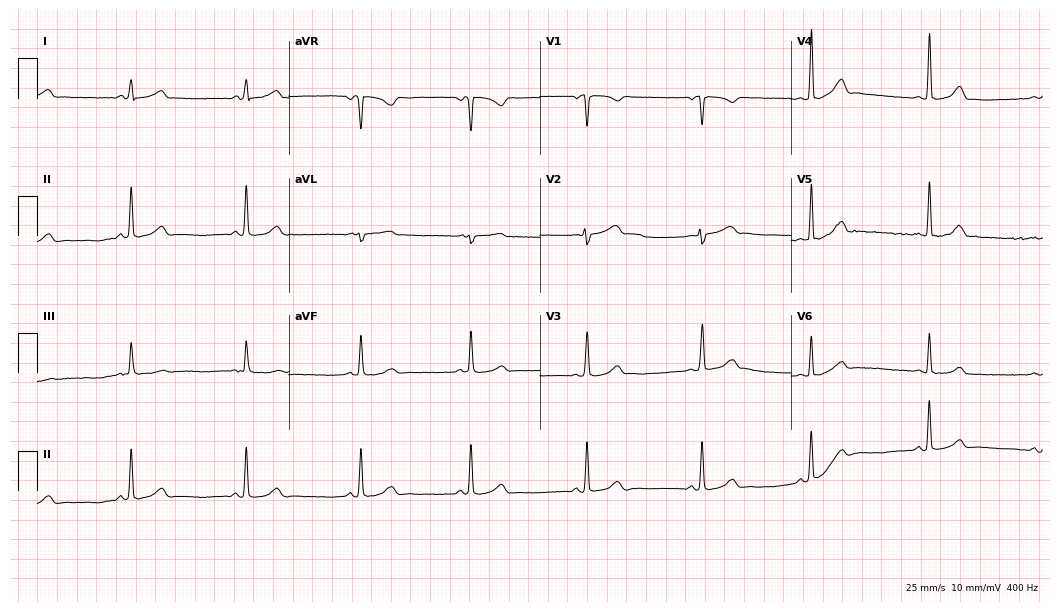
Resting 12-lead electrocardiogram (10.2-second recording at 400 Hz). Patient: a 17-year-old female. Read as a normal ECG.